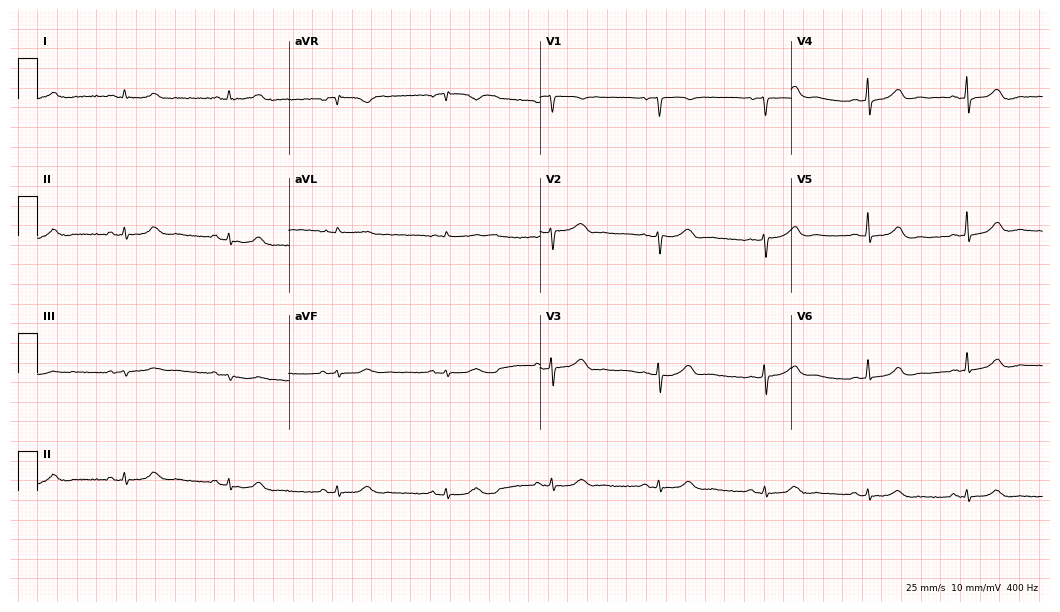
12-lead ECG from a woman, 59 years old. Recorded interpretation: within normal limits.